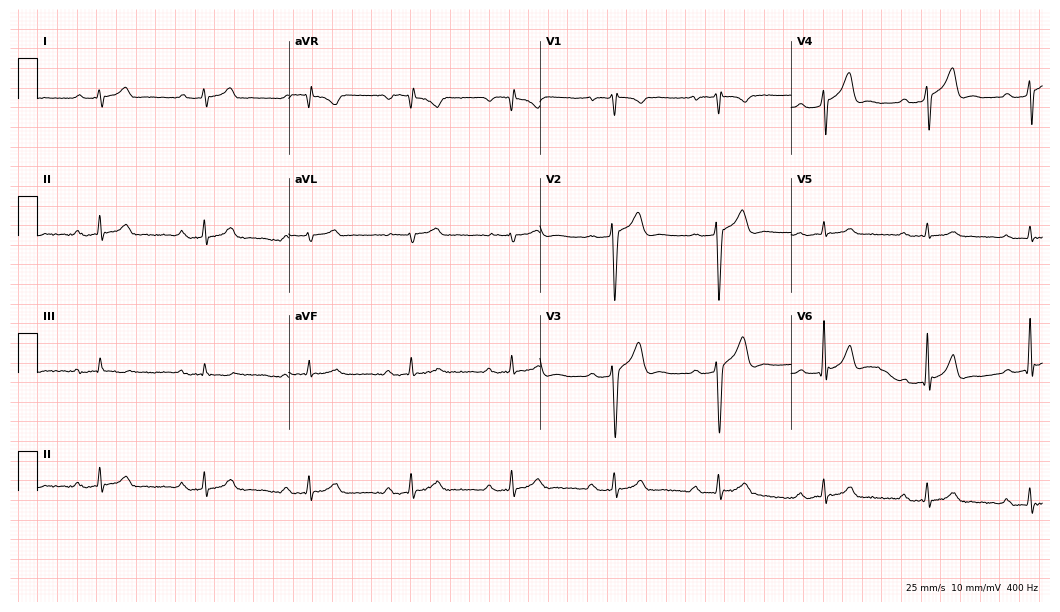
ECG — a 25-year-old male. Findings include first-degree AV block.